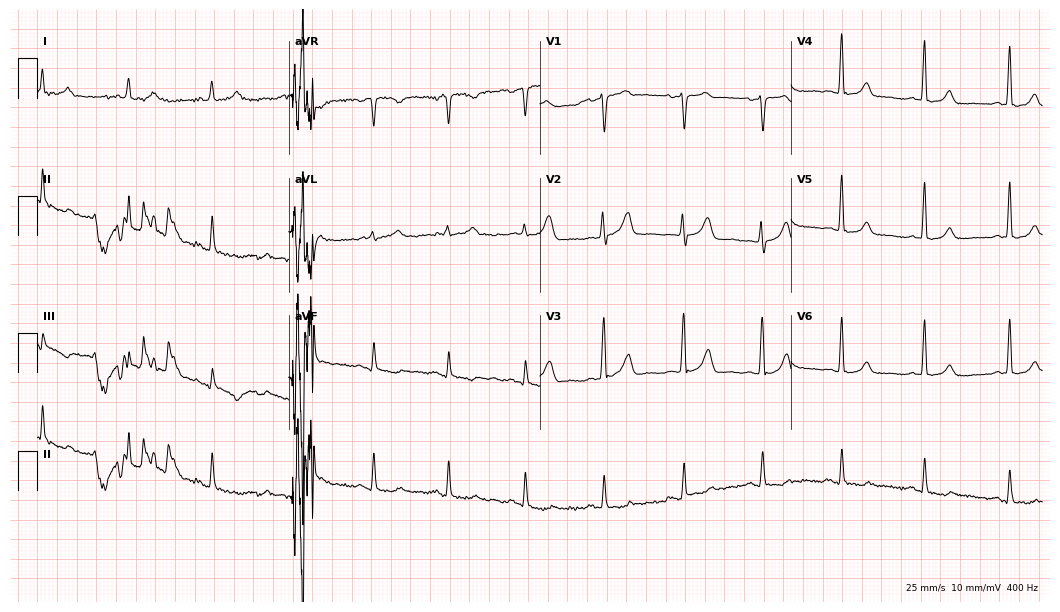
12-lead ECG from a male patient, 57 years old. No first-degree AV block, right bundle branch block (RBBB), left bundle branch block (LBBB), sinus bradycardia, atrial fibrillation (AF) or sinus tachycardia recorded for this tracing. Other findings, if any, are not listed.